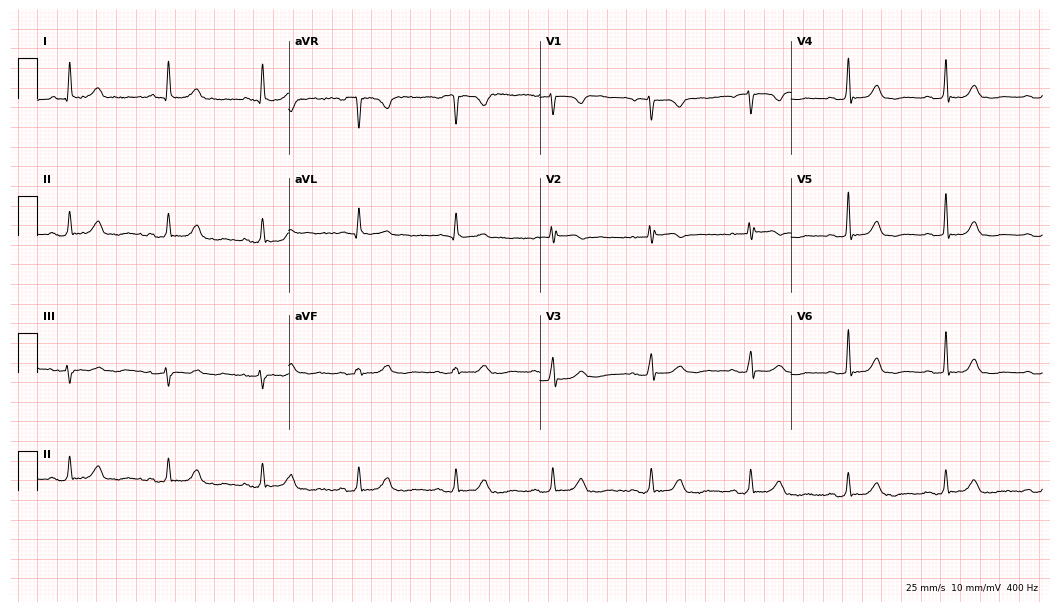
Resting 12-lead electrocardiogram. Patient: a female, 73 years old. Read as a normal ECG.